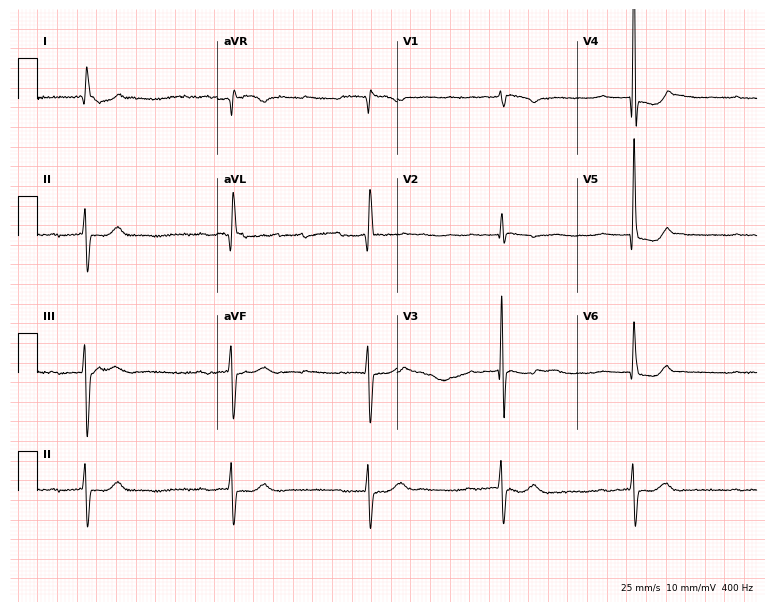
Resting 12-lead electrocardiogram. Patient: a 74-year-old female. The tracing shows atrial fibrillation.